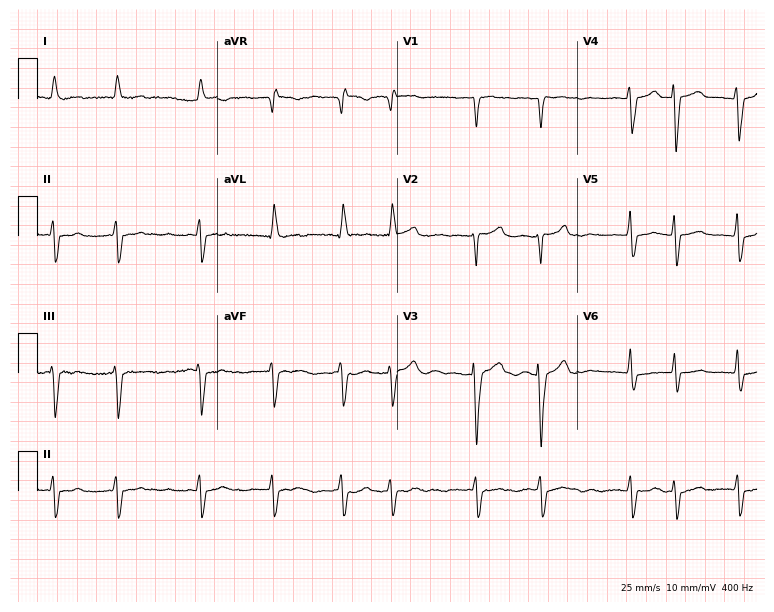
ECG (7.3-second recording at 400 Hz) — an 80-year-old male patient. Findings include atrial fibrillation.